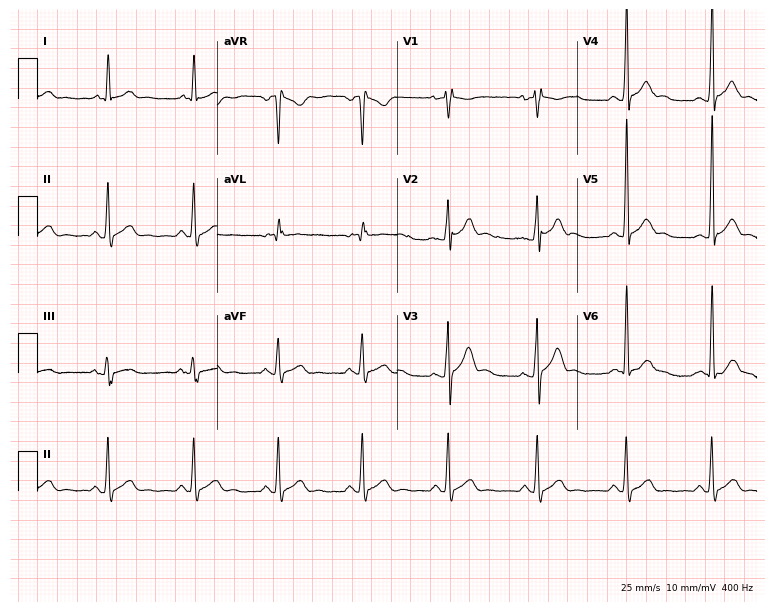
ECG — a male, 29 years old. Labelled as a normal ECG.